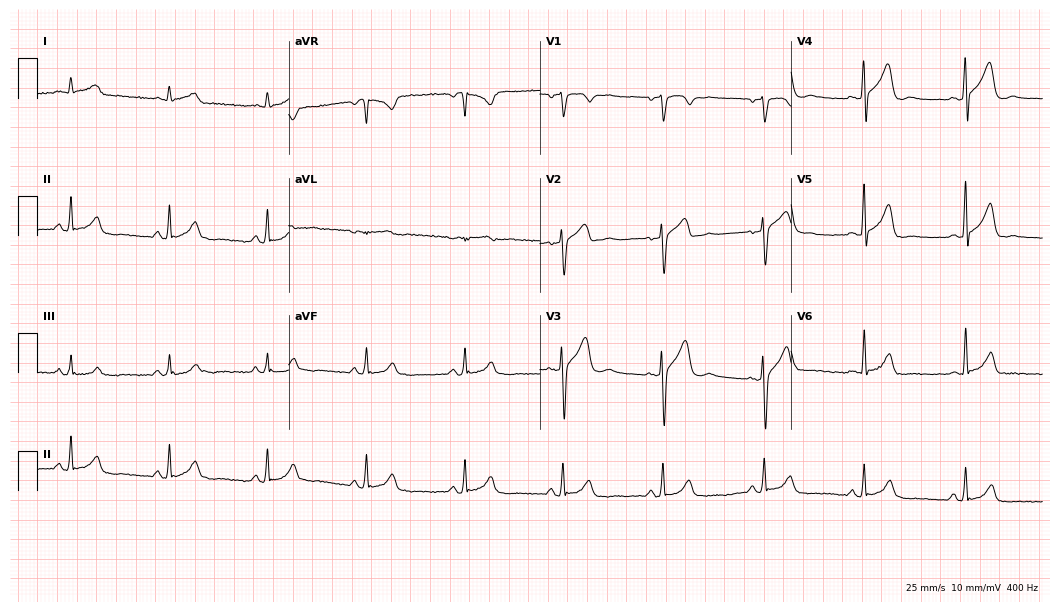
12-lead ECG from a 55-year-old man. No first-degree AV block, right bundle branch block (RBBB), left bundle branch block (LBBB), sinus bradycardia, atrial fibrillation (AF) or sinus tachycardia recorded for this tracing.